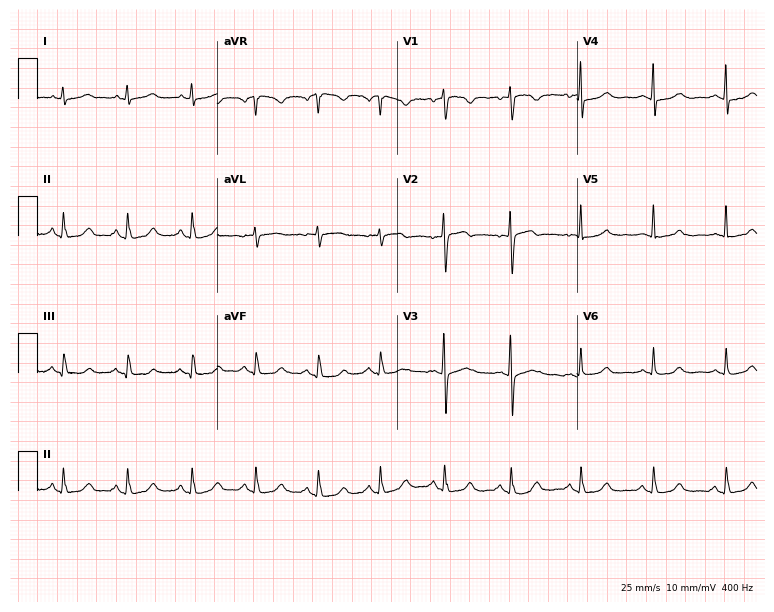
12-lead ECG from a woman, 49 years old. Screened for six findings — first-degree AV block, right bundle branch block, left bundle branch block, sinus bradycardia, atrial fibrillation, sinus tachycardia — none is recorded.